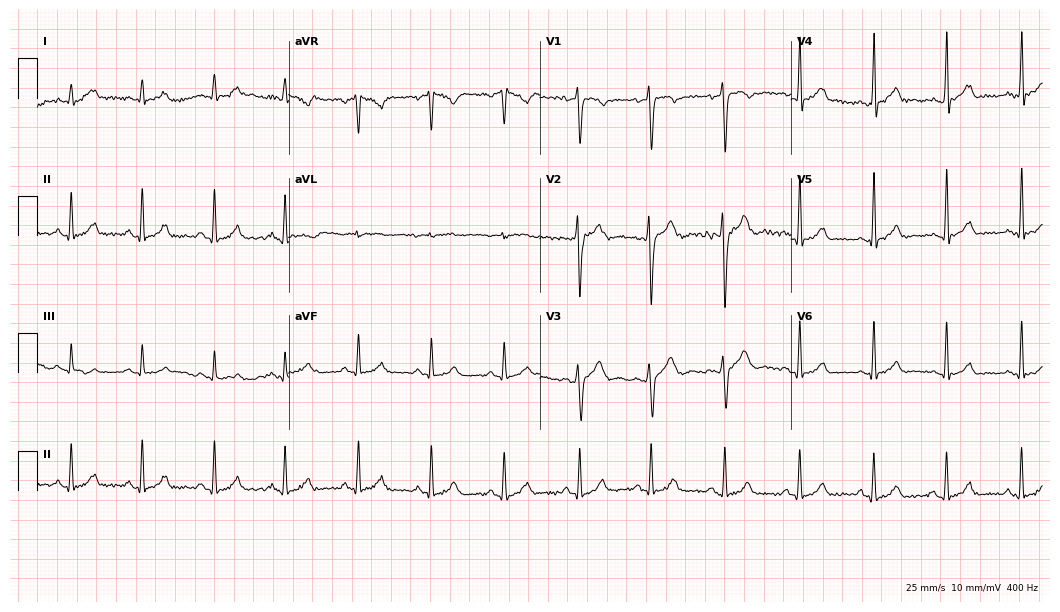
12-lead ECG from a male, 20 years old. Recorded interpretation: within normal limits.